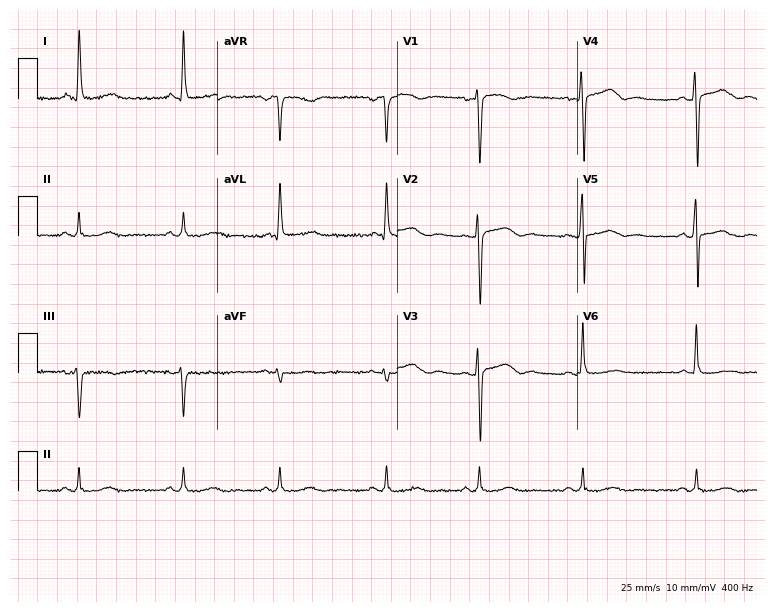
12-lead ECG from a female patient, 61 years old (7.3-second recording at 400 Hz). No first-degree AV block, right bundle branch block, left bundle branch block, sinus bradycardia, atrial fibrillation or sinus tachycardia recorded for this tracing. Only these six findings were labelled.